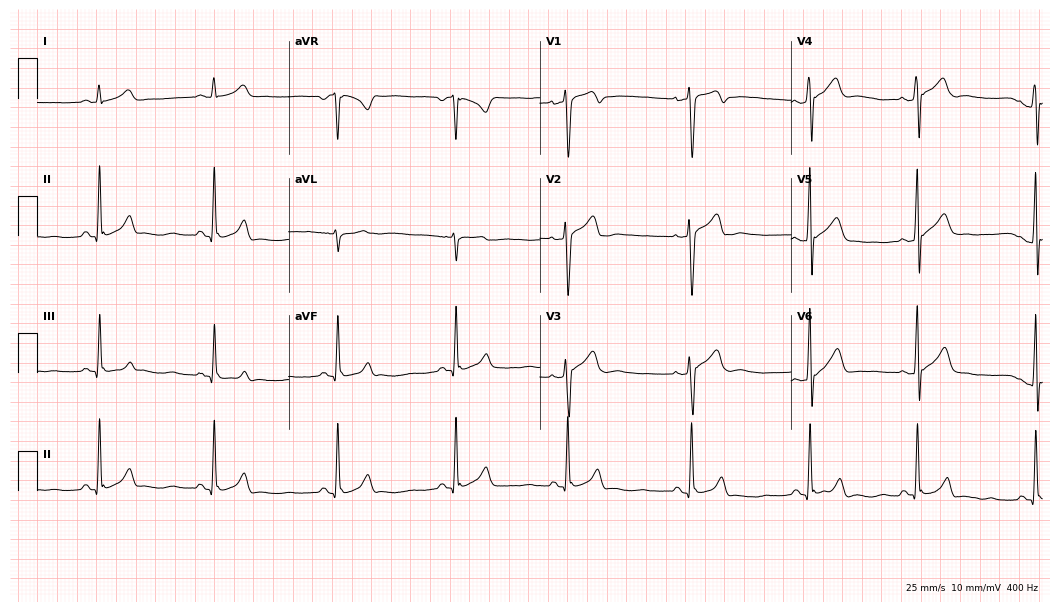
Standard 12-lead ECG recorded from a 19-year-old male. The tracing shows sinus bradycardia (a sinus rate of 50 beats per minute or less).